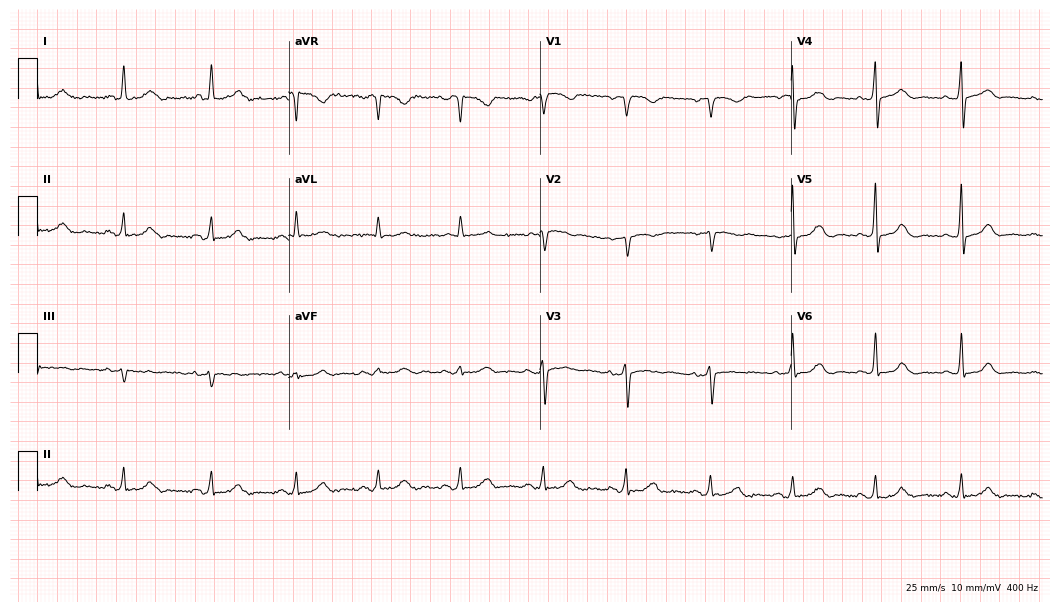
12-lead ECG from a woman, 64 years old (10.2-second recording at 400 Hz). Recorded interpretation: within normal limits.